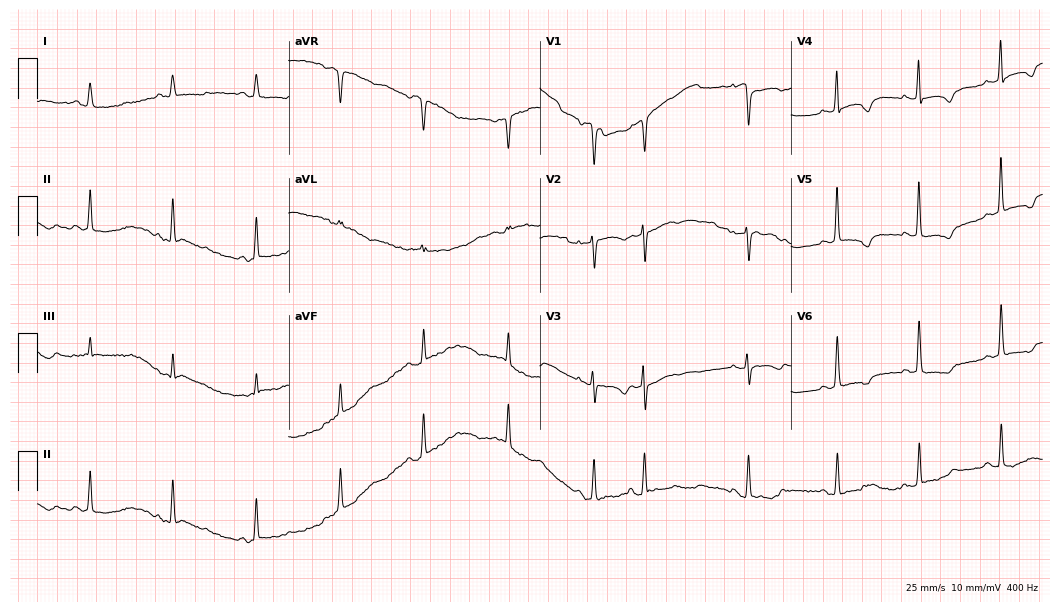
Electrocardiogram, a female patient, 69 years old. Of the six screened findings (first-degree AV block, right bundle branch block, left bundle branch block, sinus bradycardia, atrial fibrillation, sinus tachycardia), none is recorded. Only these six findings were labelled.